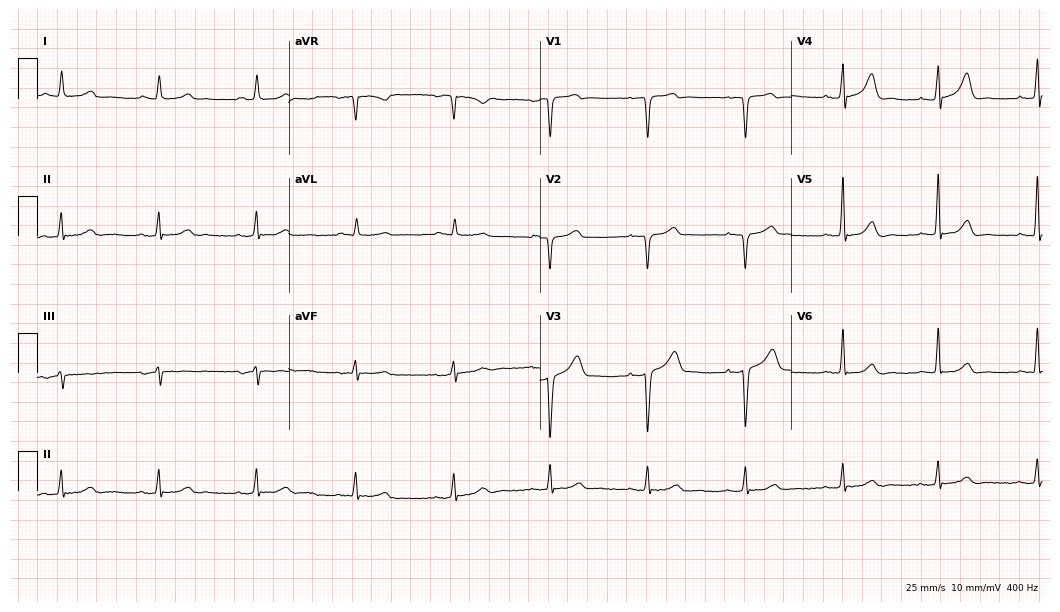
Standard 12-lead ECG recorded from a man, 55 years old (10.2-second recording at 400 Hz). None of these six findings is recorded: first-degree AV block, right bundle branch block, left bundle branch block, sinus bradycardia, atrial fibrillation, sinus tachycardia.